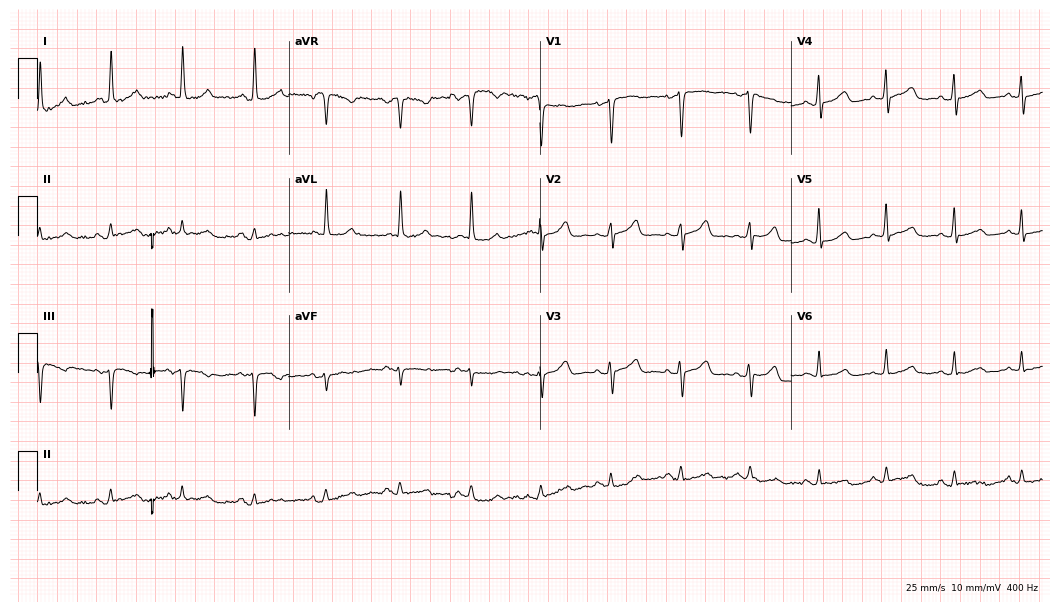
12-lead ECG from a 73-year-old woman (10.2-second recording at 400 Hz). Recorded interpretation: within normal limits.